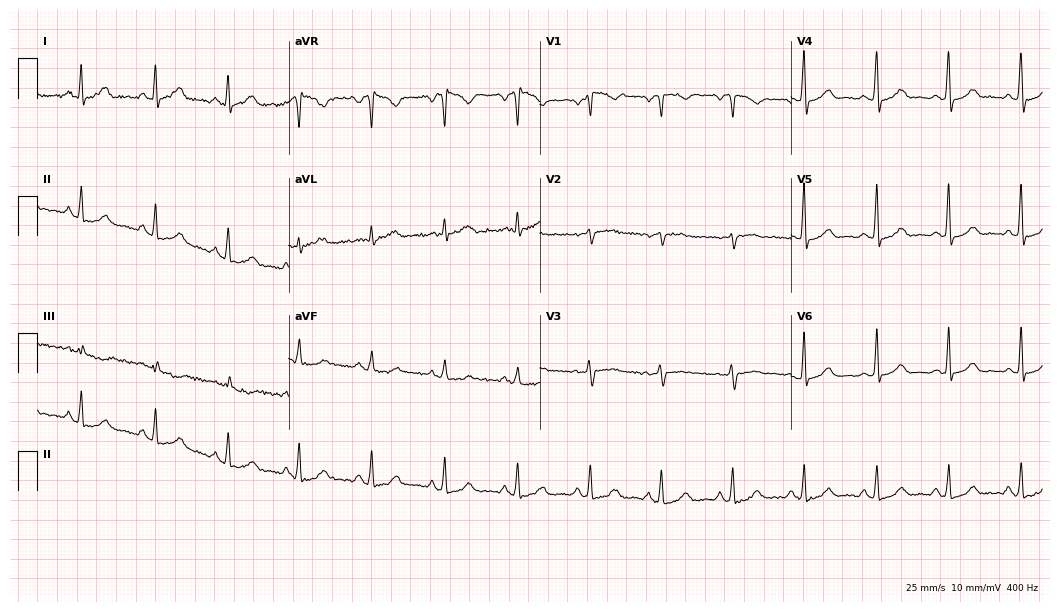
12-lead ECG (10.2-second recording at 400 Hz) from a 49-year-old female patient. Labelled as a normal ECG.